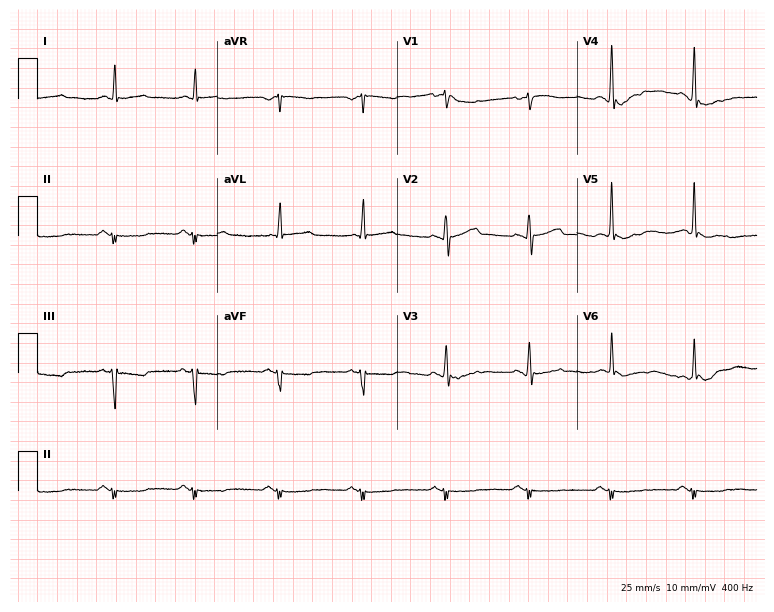
Standard 12-lead ECG recorded from a male patient, 68 years old. None of these six findings is recorded: first-degree AV block, right bundle branch block, left bundle branch block, sinus bradycardia, atrial fibrillation, sinus tachycardia. Only these six findings were labelled.